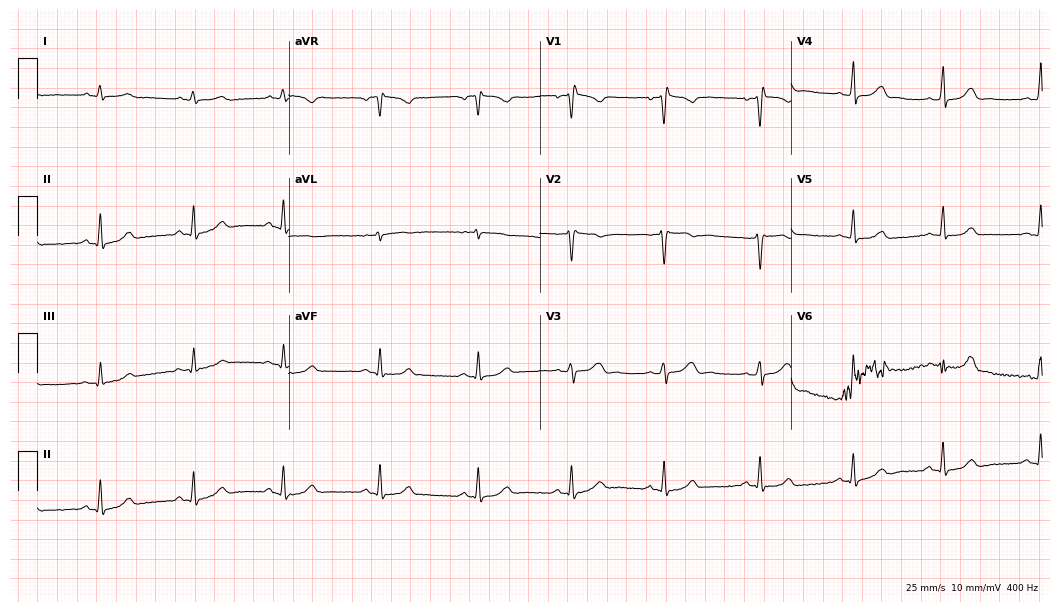
Standard 12-lead ECG recorded from a woman, 44 years old (10.2-second recording at 400 Hz). None of these six findings is recorded: first-degree AV block, right bundle branch block, left bundle branch block, sinus bradycardia, atrial fibrillation, sinus tachycardia.